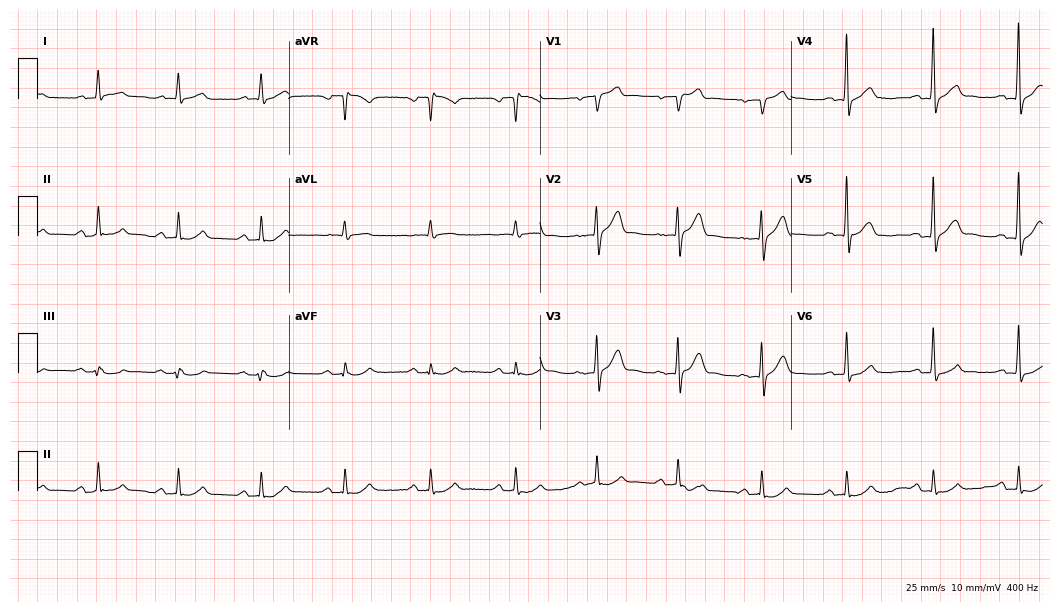
12-lead ECG from a male patient, 85 years old (10.2-second recording at 400 Hz). Recorded interpretation: within normal limits.